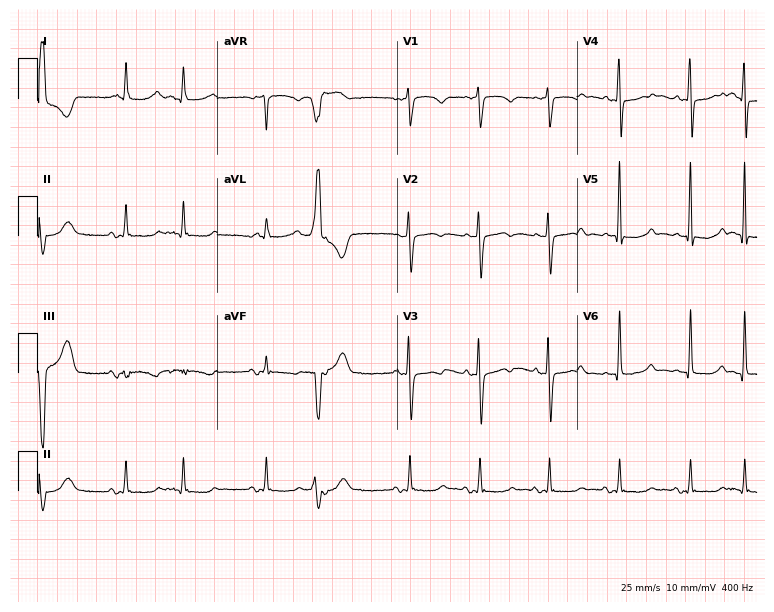
Electrocardiogram, a female patient, 70 years old. Of the six screened findings (first-degree AV block, right bundle branch block (RBBB), left bundle branch block (LBBB), sinus bradycardia, atrial fibrillation (AF), sinus tachycardia), none is recorded. Other findings, if any, are not listed.